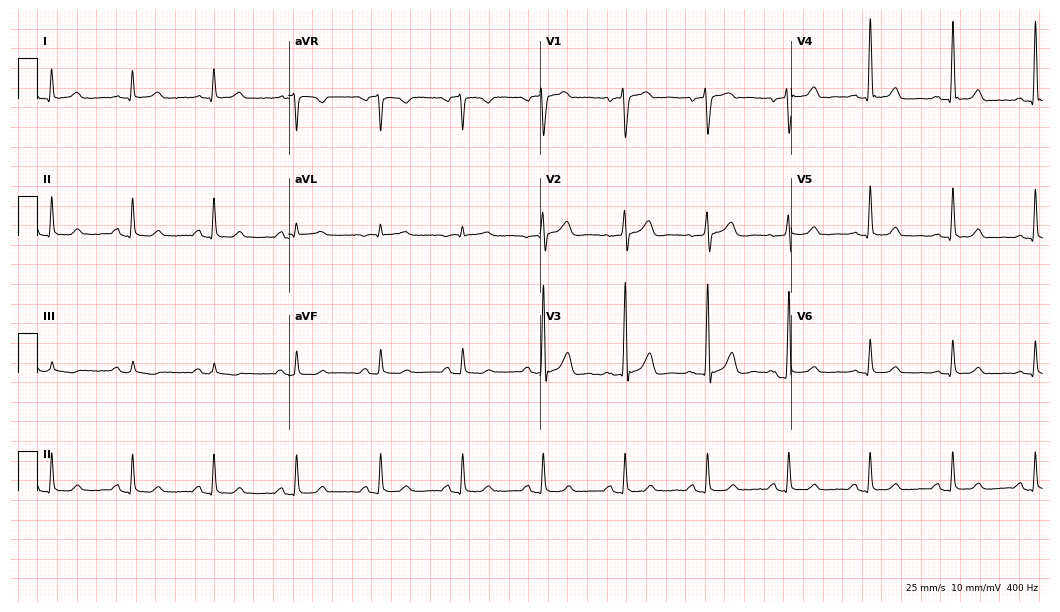
Electrocardiogram, a male patient, 48 years old. Of the six screened findings (first-degree AV block, right bundle branch block (RBBB), left bundle branch block (LBBB), sinus bradycardia, atrial fibrillation (AF), sinus tachycardia), none is recorded. Findings outside these six are not listed.